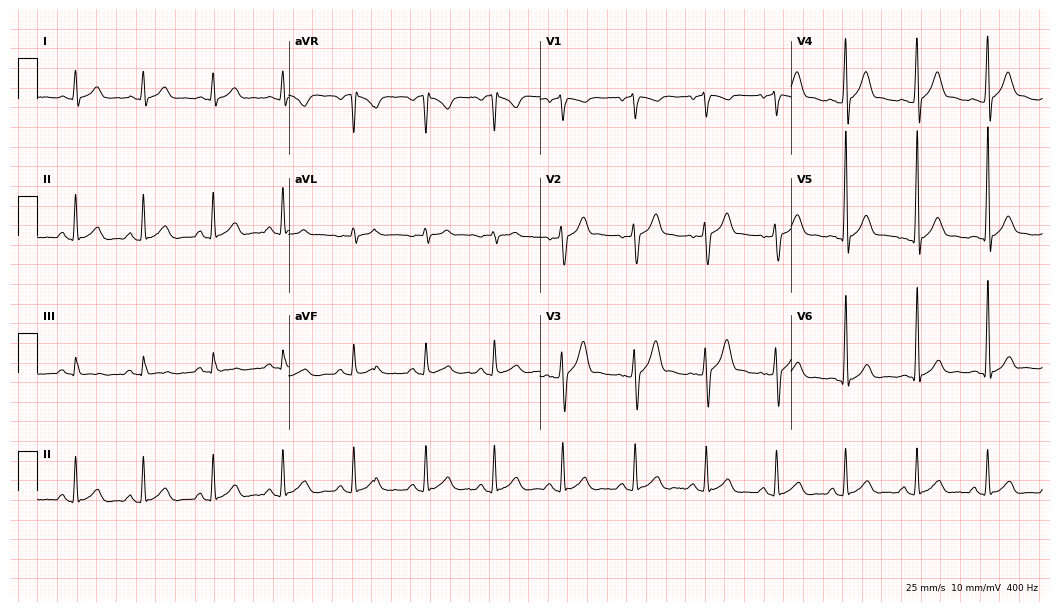
12-lead ECG from a male patient, 21 years old. Labelled as a normal ECG.